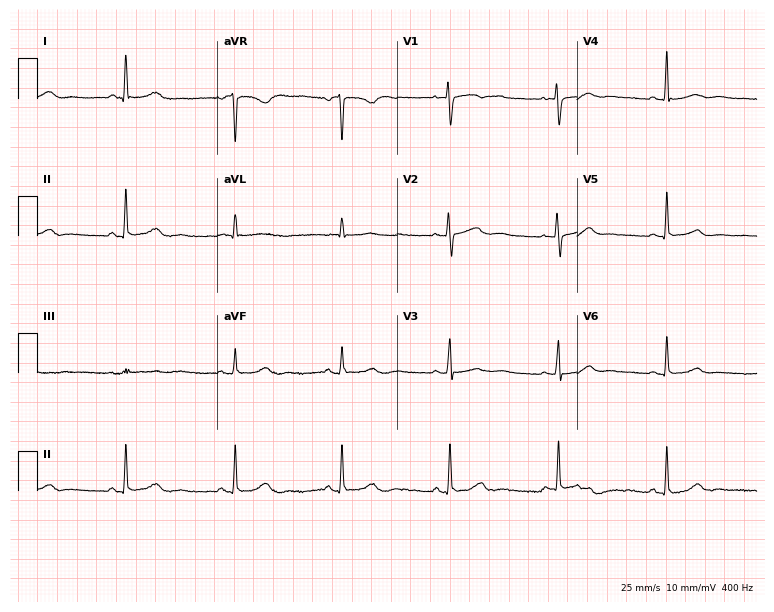
Standard 12-lead ECG recorded from a woman, 60 years old. None of these six findings is recorded: first-degree AV block, right bundle branch block (RBBB), left bundle branch block (LBBB), sinus bradycardia, atrial fibrillation (AF), sinus tachycardia. Findings outside these six are not listed.